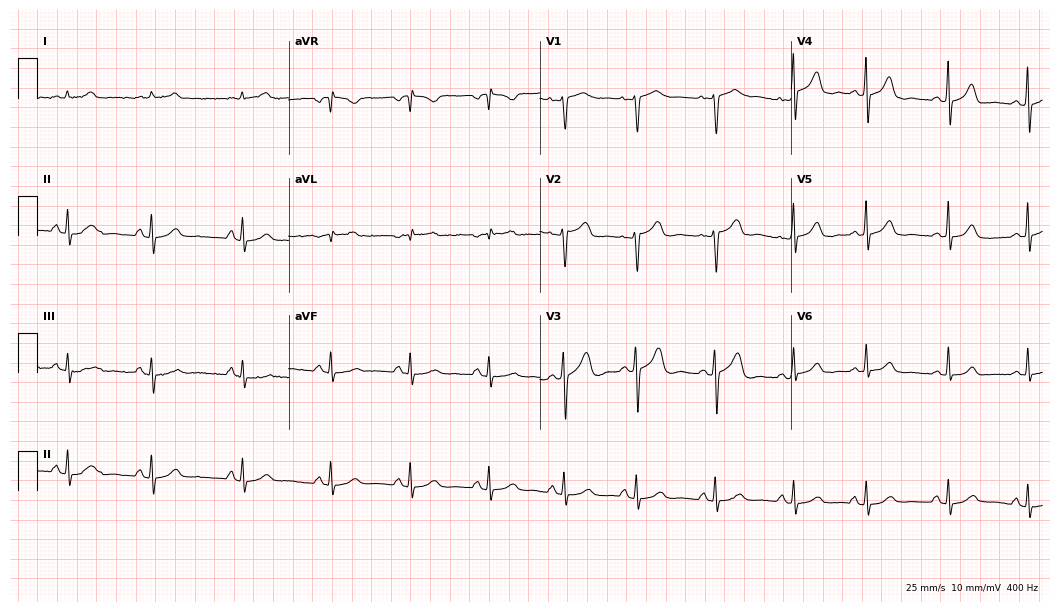
Resting 12-lead electrocardiogram. Patient: a female, 46 years old. Read as a normal ECG.